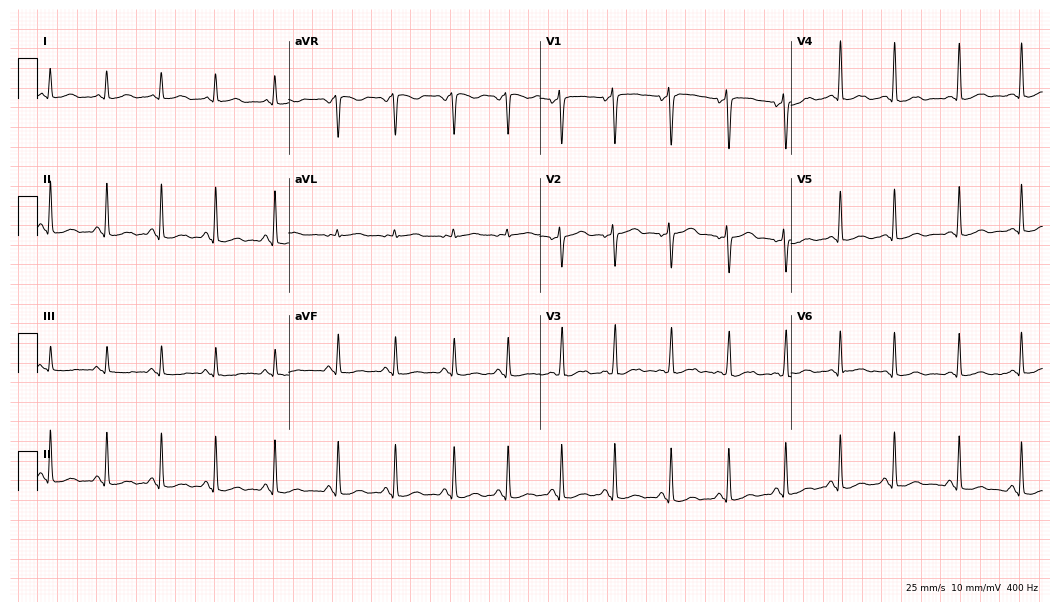
12-lead ECG (10.2-second recording at 400 Hz) from a 32-year-old female. Screened for six findings — first-degree AV block, right bundle branch block (RBBB), left bundle branch block (LBBB), sinus bradycardia, atrial fibrillation (AF), sinus tachycardia — none is recorded. Only these six findings were labelled.